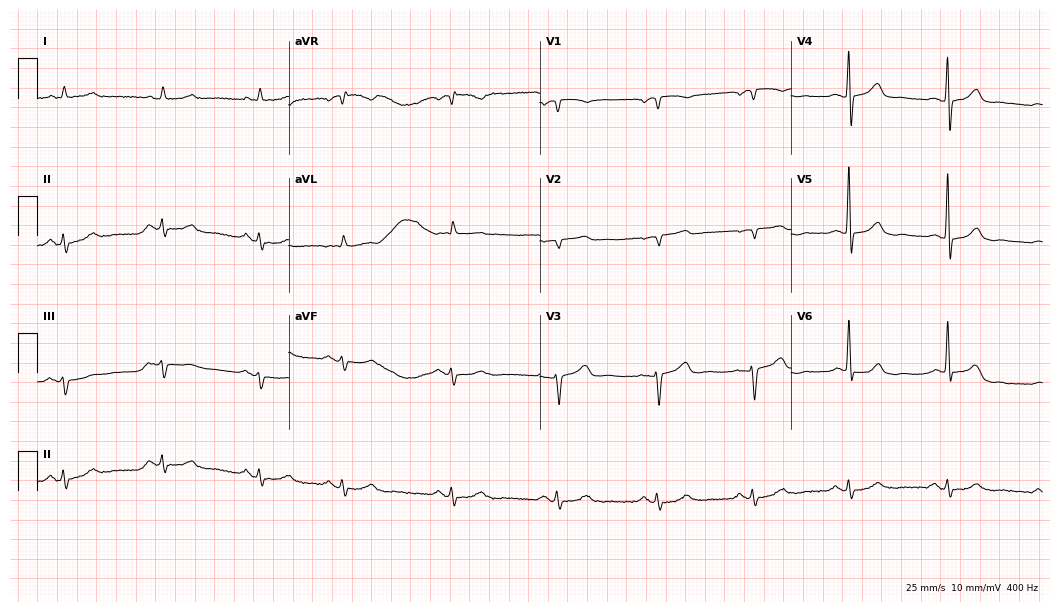
12-lead ECG from a 76-year-old man (10.2-second recording at 400 Hz). No first-degree AV block, right bundle branch block, left bundle branch block, sinus bradycardia, atrial fibrillation or sinus tachycardia recorded for this tracing.